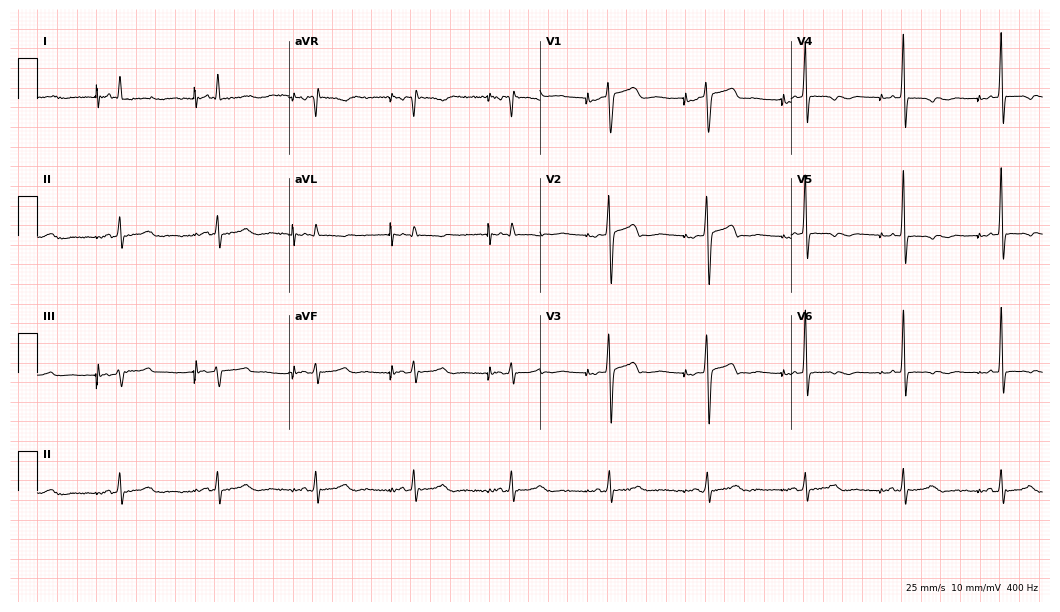
12-lead ECG (10.2-second recording at 400 Hz) from a male, 68 years old. Screened for six findings — first-degree AV block, right bundle branch block (RBBB), left bundle branch block (LBBB), sinus bradycardia, atrial fibrillation (AF), sinus tachycardia — none is recorded.